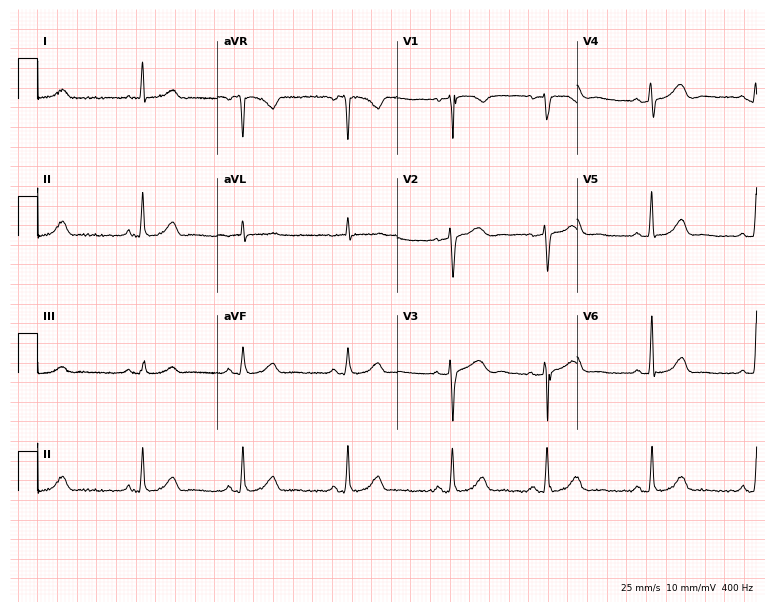
ECG (7.3-second recording at 400 Hz) — a female patient, 49 years old. Screened for six findings — first-degree AV block, right bundle branch block, left bundle branch block, sinus bradycardia, atrial fibrillation, sinus tachycardia — none is recorded.